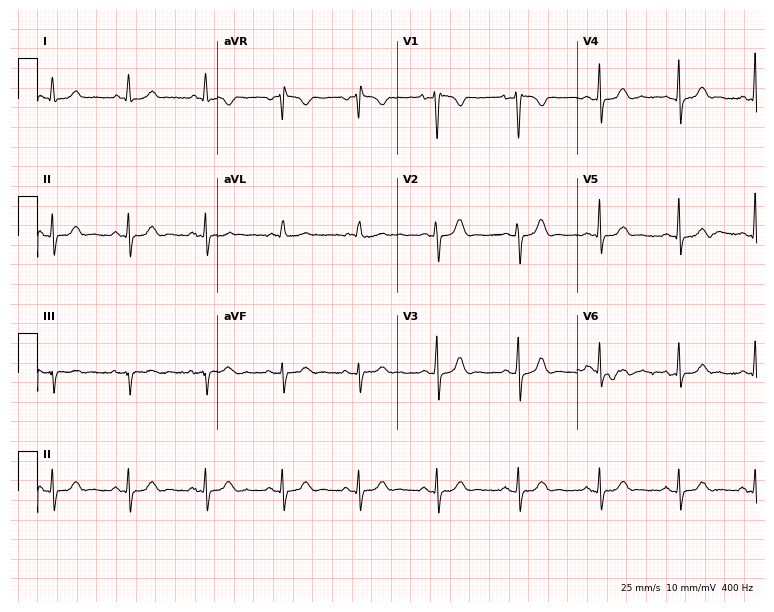
Standard 12-lead ECG recorded from a 43-year-old female (7.3-second recording at 400 Hz). Read as a normal ECG.